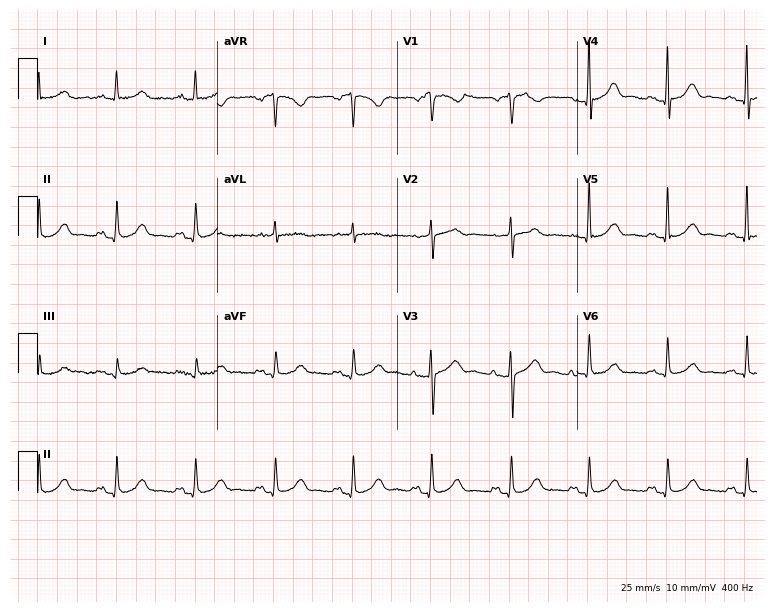
Electrocardiogram, a 74-year-old female patient. Overall reading on record: normal ECG.